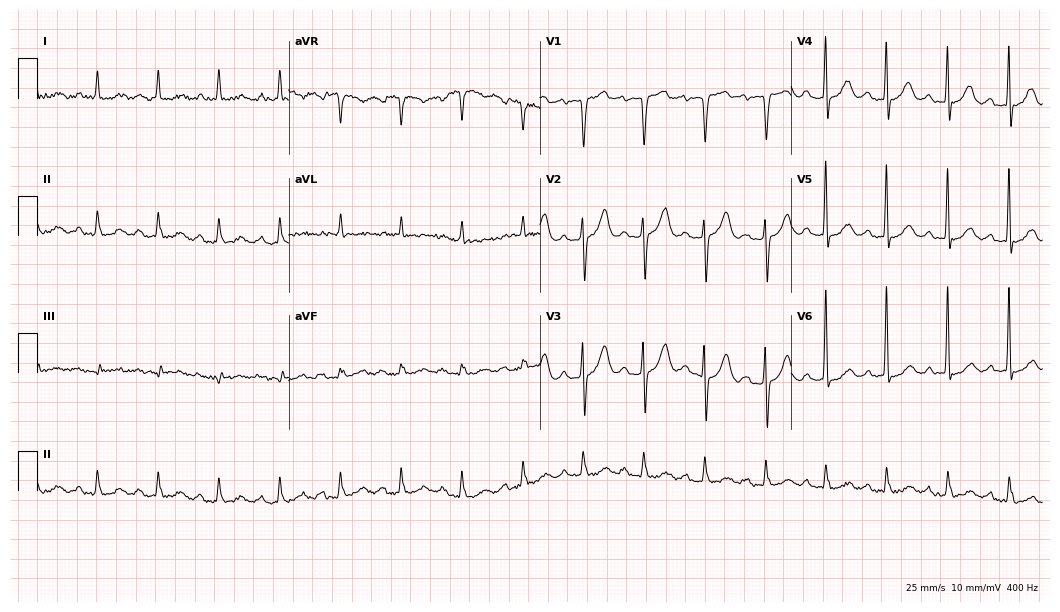
Electrocardiogram, an 82-year-old male. Of the six screened findings (first-degree AV block, right bundle branch block, left bundle branch block, sinus bradycardia, atrial fibrillation, sinus tachycardia), none is recorded.